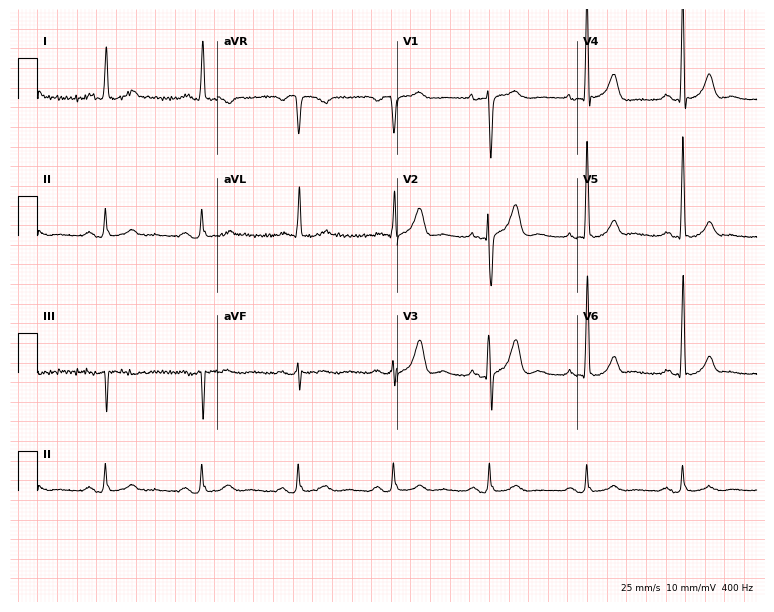
Electrocardiogram, a 67-year-old female. Of the six screened findings (first-degree AV block, right bundle branch block (RBBB), left bundle branch block (LBBB), sinus bradycardia, atrial fibrillation (AF), sinus tachycardia), none is recorded.